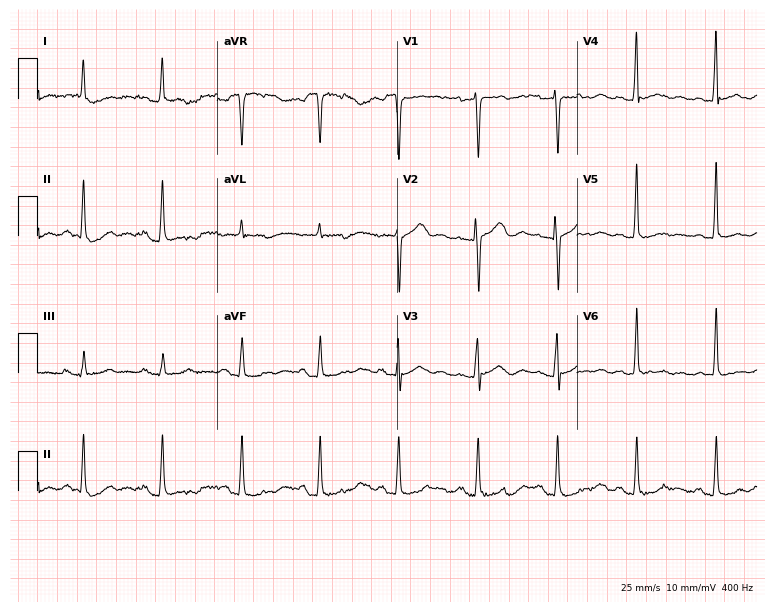
Standard 12-lead ECG recorded from a female, 75 years old (7.3-second recording at 400 Hz). Read as a normal ECG.